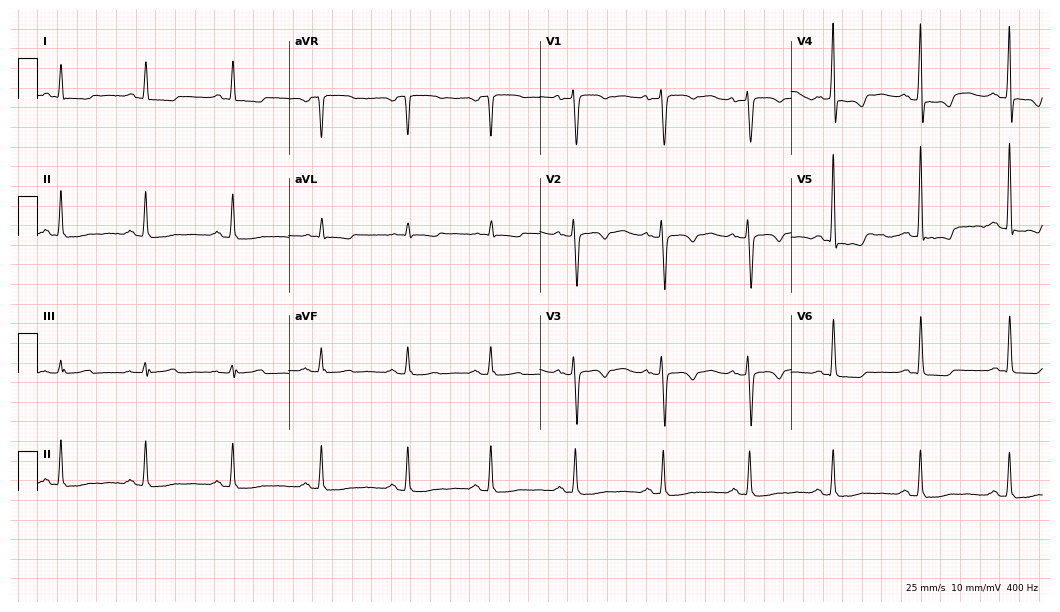
Standard 12-lead ECG recorded from a 57-year-old woman (10.2-second recording at 400 Hz). None of these six findings is recorded: first-degree AV block, right bundle branch block, left bundle branch block, sinus bradycardia, atrial fibrillation, sinus tachycardia.